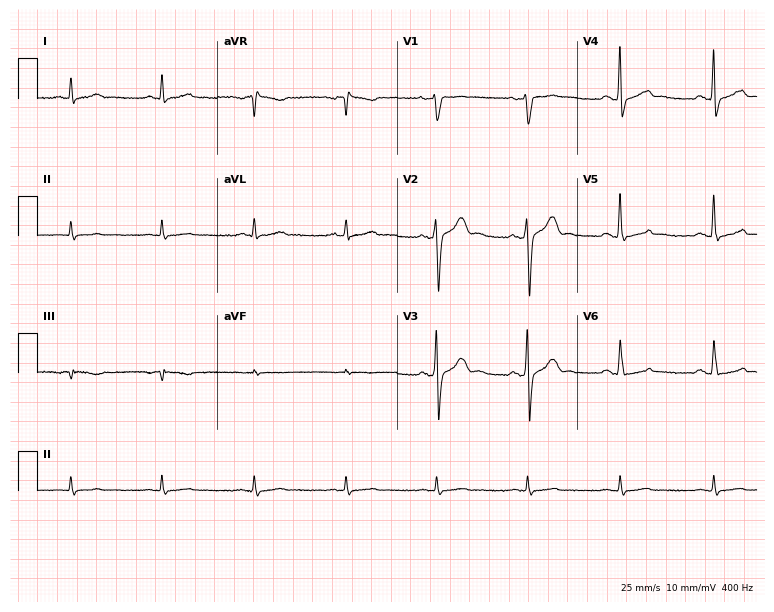
ECG — a 52-year-old man. Screened for six findings — first-degree AV block, right bundle branch block, left bundle branch block, sinus bradycardia, atrial fibrillation, sinus tachycardia — none is recorded.